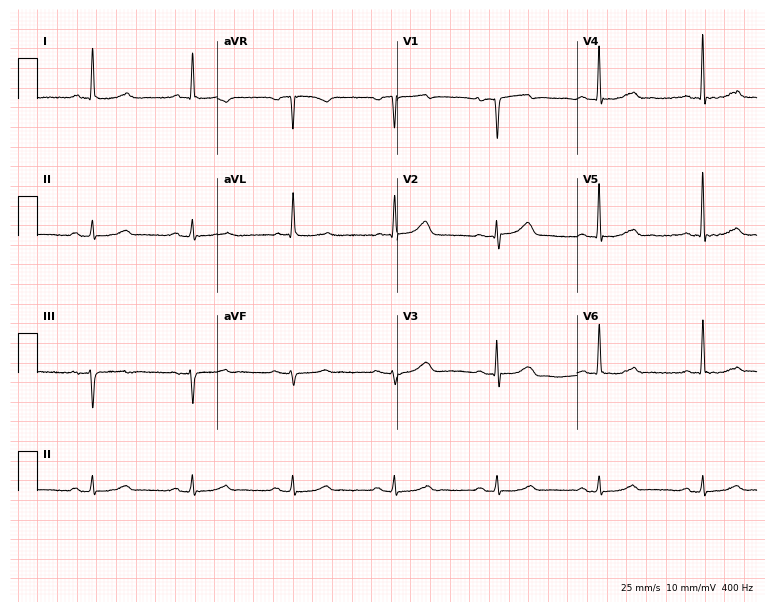
Electrocardiogram, an 85-year-old male. Of the six screened findings (first-degree AV block, right bundle branch block, left bundle branch block, sinus bradycardia, atrial fibrillation, sinus tachycardia), none is recorded. Only these six findings were labelled.